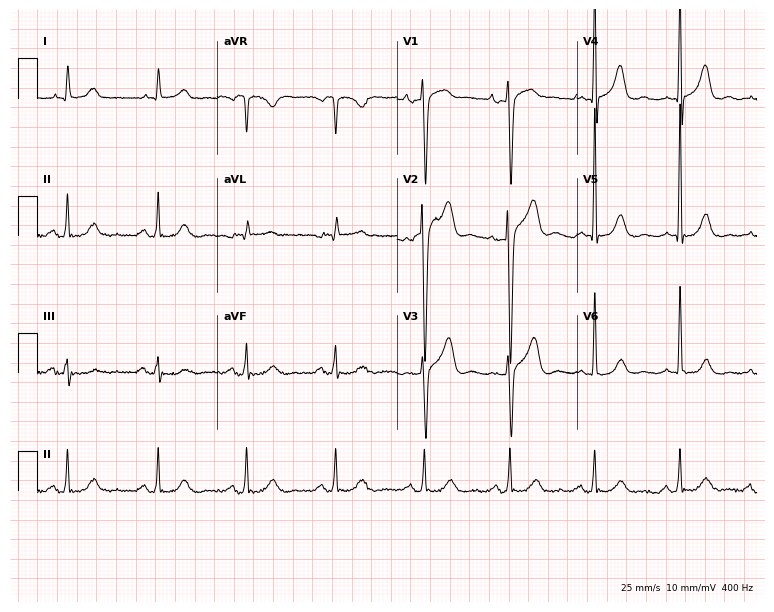
ECG (7.3-second recording at 400 Hz) — an 80-year-old man. Screened for six findings — first-degree AV block, right bundle branch block, left bundle branch block, sinus bradycardia, atrial fibrillation, sinus tachycardia — none is recorded.